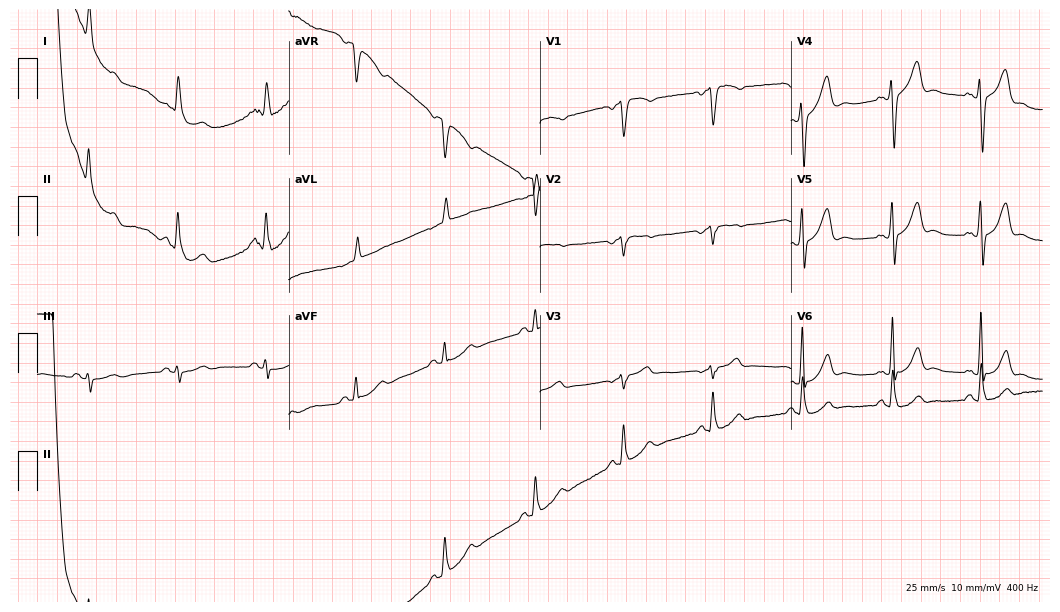
Resting 12-lead electrocardiogram (10.2-second recording at 400 Hz). Patient: a 62-year-old man. None of these six findings is recorded: first-degree AV block, right bundle branch block, left bundle branch block, sinus bradycardia, atrial fibrillation, sinus tachycardia. Findings outside these six are not listed.